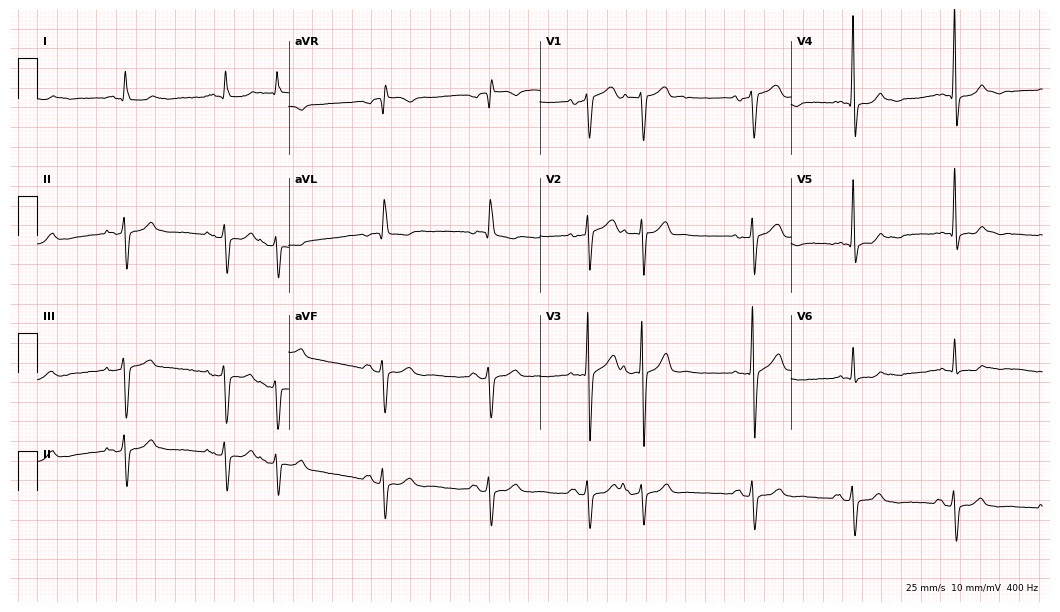
ECG (10.2-second recording at 400 Hz) — a male patient, 64 years old. Screened for six findings — first-degree AV block, right bundle branch block, left bundle branch block, sinus bradycardia, atrial fibrillation, sinus tachycardia — none is recorded.